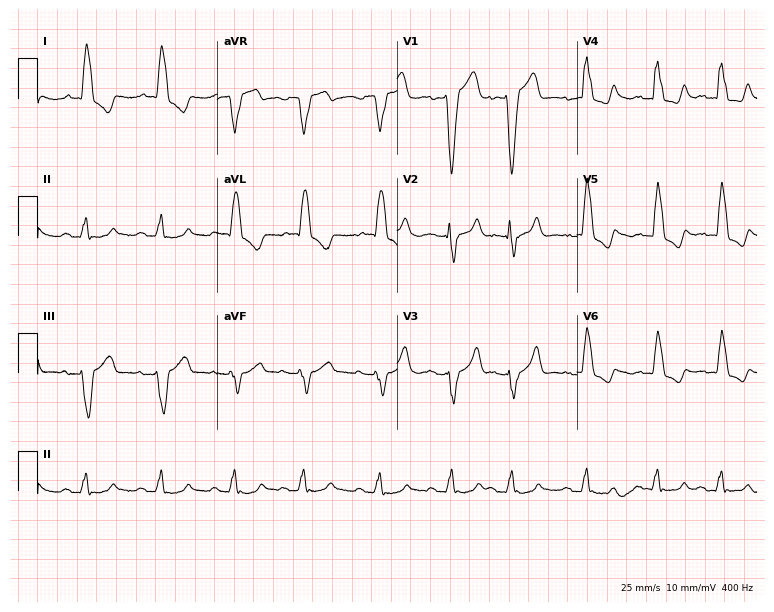
12-lead ECG from an 85-year-old man (7.3-second recording at 400 Hz). Shows left bundle branch block (LBBB).